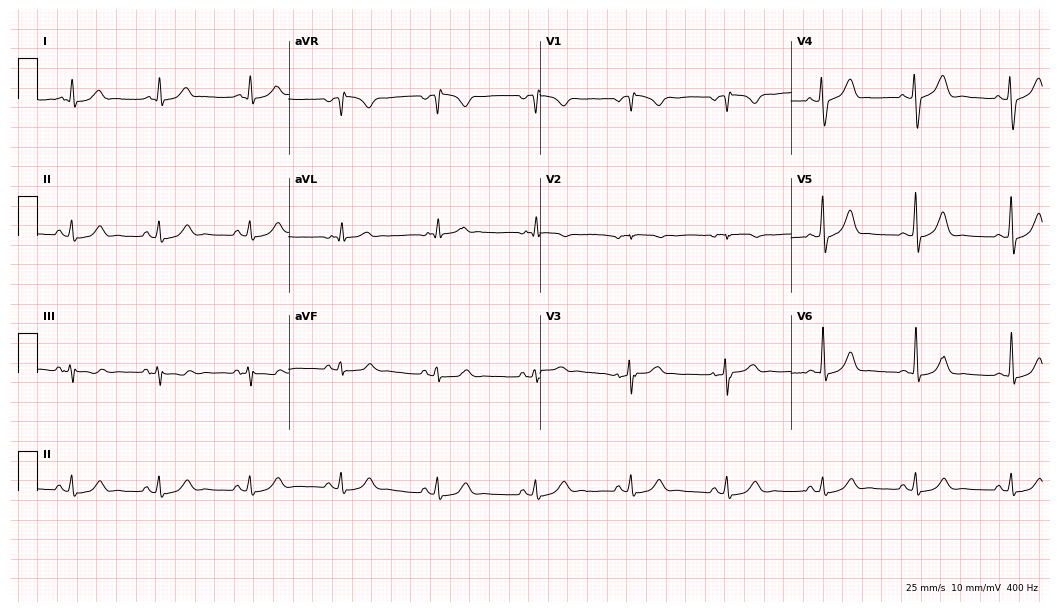
12-lead ECG from a 55-year-old male patient (10.2-second recording at 400 Hz). No first-degree AV block, right bundle branch block (RBBB), left bundle branch block (LBBB), sinus bradycardia, atrial fibrillation (AF) or sinus tachycardia recorded for this tracing. Other findings, if any, are not listed.